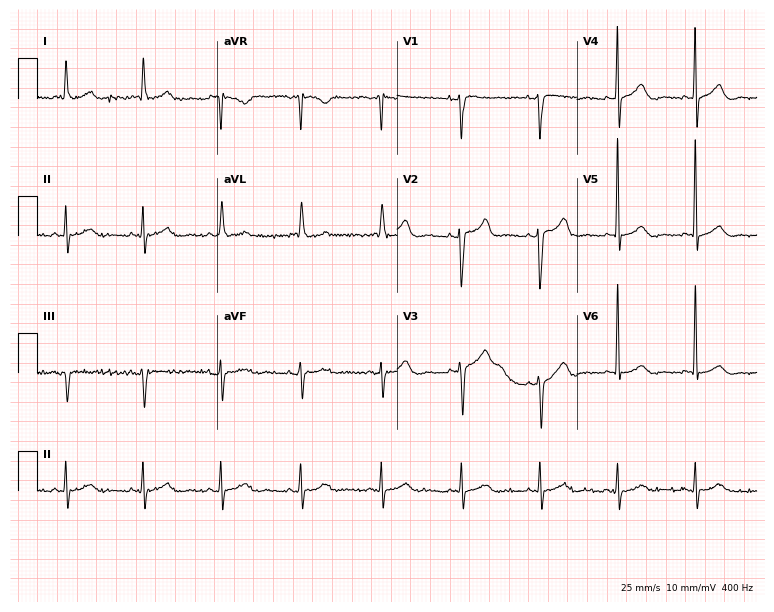
ECG — a female patient, 79 years old. Screened for six findings — first-degree AV block, right bundle branch block, left bundle branch block, sinus bradycardia, atrial fibrillation, sinus tachycardia — none is recorded.